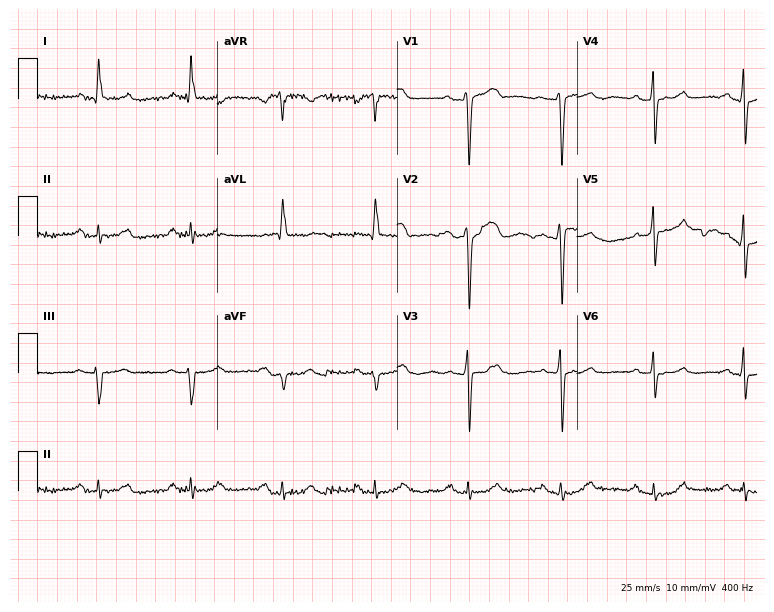
ECG (7.3-second recording at 400 Hz) — a female, 72 years old. Screened for six findings — first-degree AV block, right bundle branch block, left bundle branch block, sinus bradycardia, atrial fibrillation, sinus tachycardia — none is recorded. Findings outside these six are not listed.